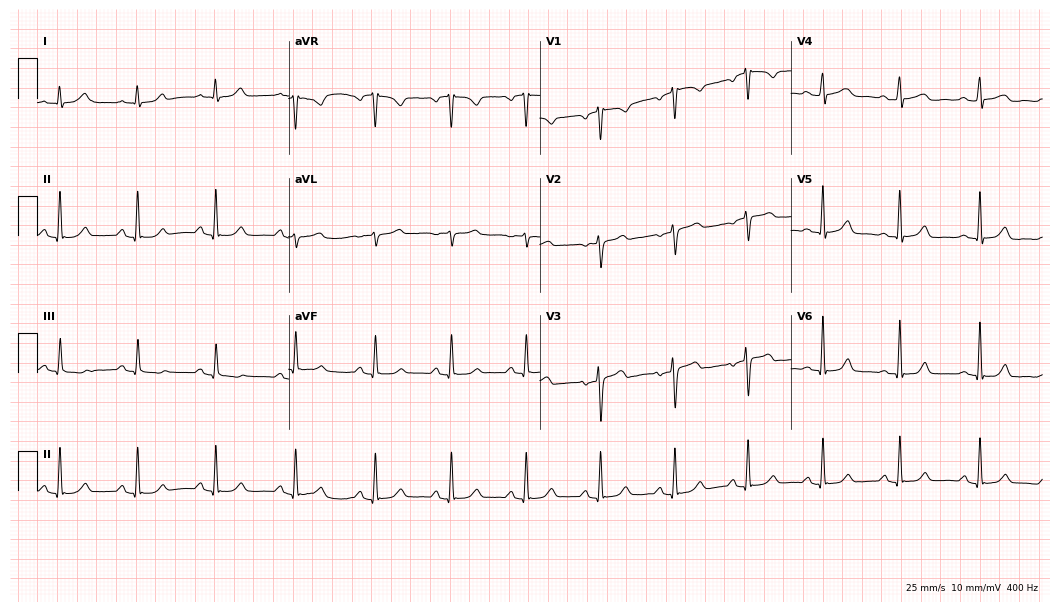
Standard 12-lead ECG recorded from a woman, 56 years old (10.2-second recording at 400 Hz). Read as a normal ECG.